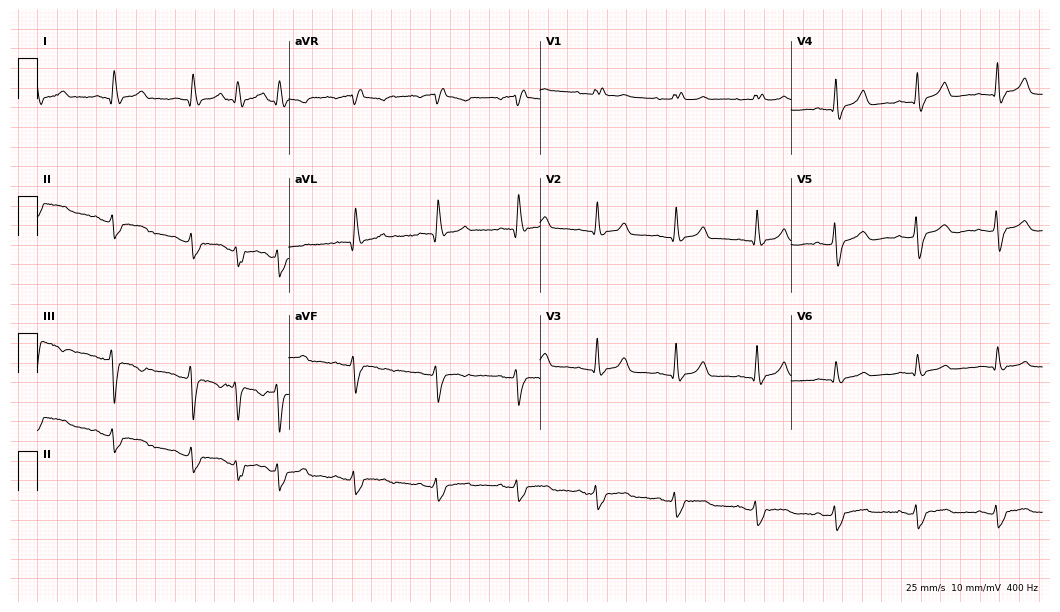
12-lead ECG from a 57-year-old woman (10.2-second recording at 400 Hz). Shows right bundle branch block.